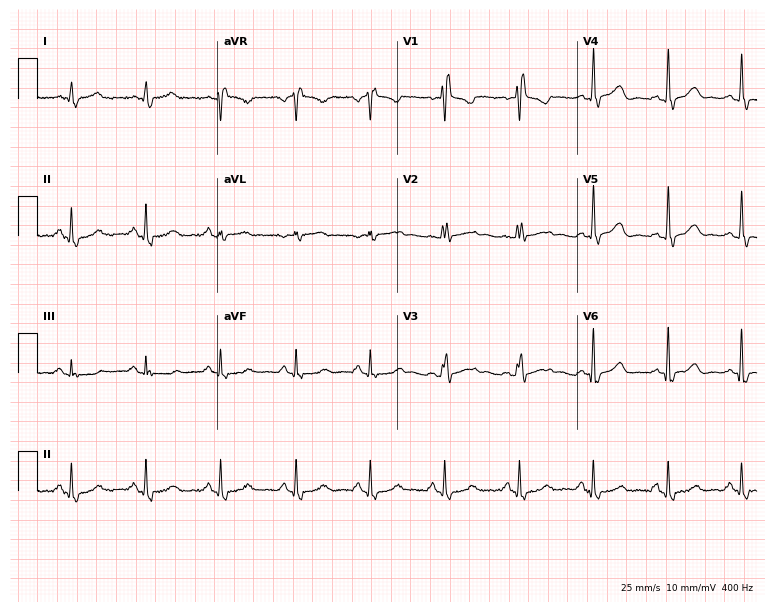
12-lead ECG from a 40-year-old female. Shows right bundle branch block.